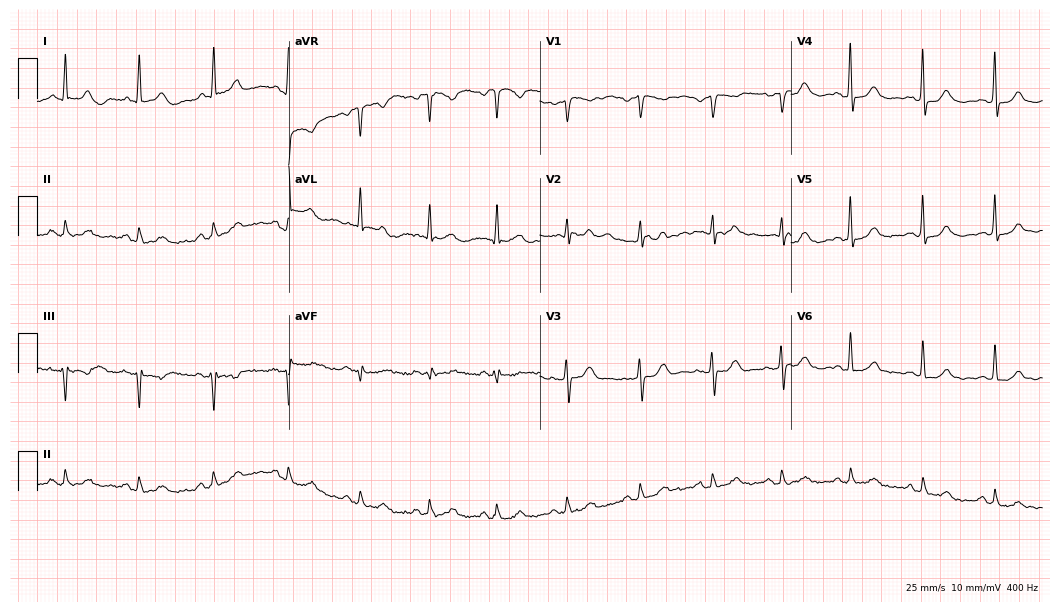
12-lead ECG from a male, 61 years old. Labelled as a normal ECG.